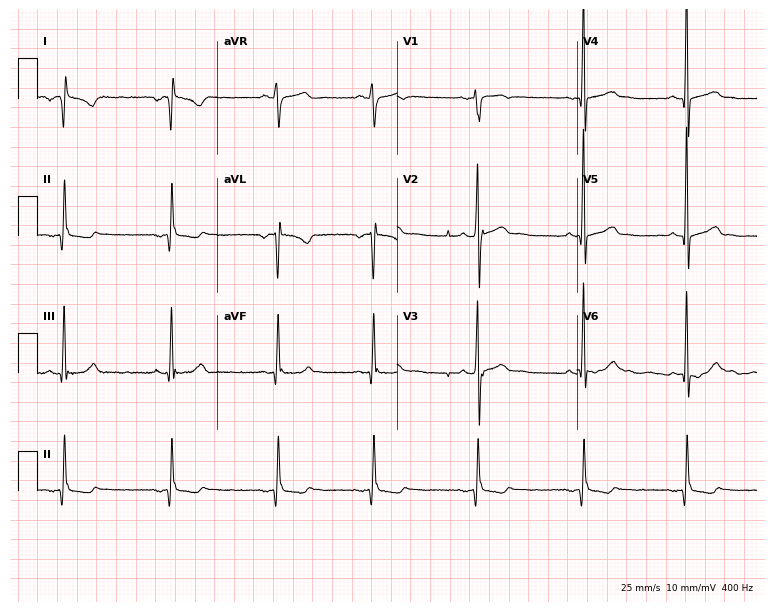
12-lead ECG from a 19-year-old male. Screened for six findings — first-degree AV block, right bundle branch block (RBBB), left bundle branch block (LBBB), sinus bradycardia, atrial fibrillation (AF), sinus tachycardia — none is recorded. Other findings, if any, are not listed.